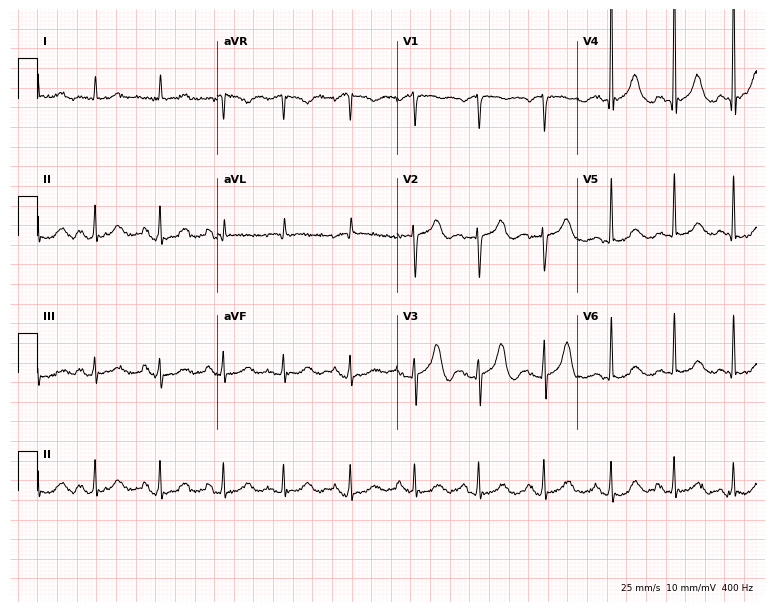
Electrocardiogram (7.3-second recording at 400 Hz), a female, 82 years old. Overall reading on record: normal ECG.